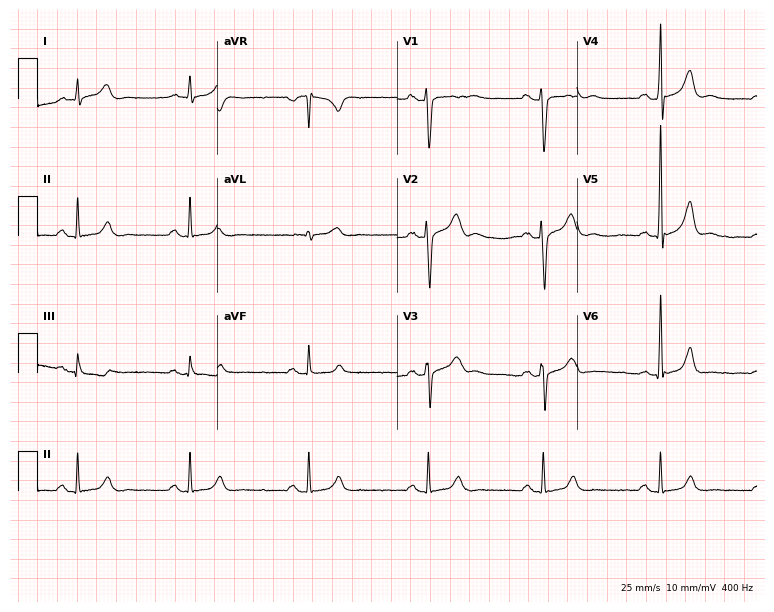
Resting 12-lead electrocardiogram. Patient: a male, 37 years old. The tracing shows sinus bradycardia (a sinus rate of 50 beats per minute or less).